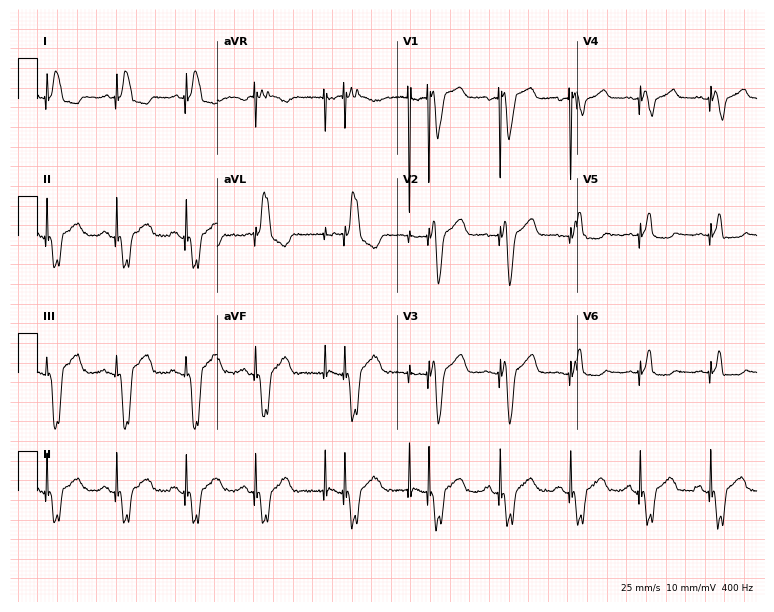
Resting 12-lead electrocardiogram (7.3-second recording at 400 Hz). Patient: a female, 83 years old. None of these six findings is recorded: first-degree AV block, right bundle branch block, left bundle branch block, sinus bradycardia, atrial fibrillation, sinus tachycardia. Findings outside these six are not listed.